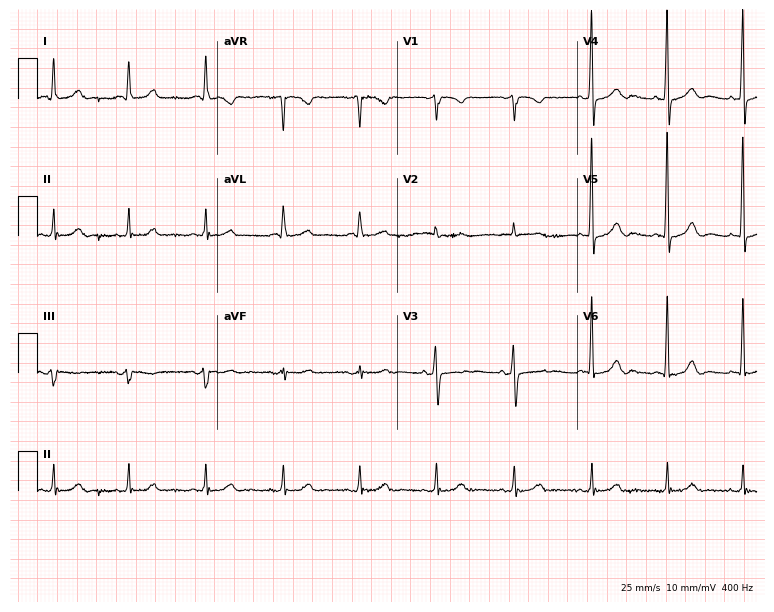
Electrocardiogram (7.3-second recording at 400 Hz), a 70-year-old female patient. Overall reading on record: normal ECG.